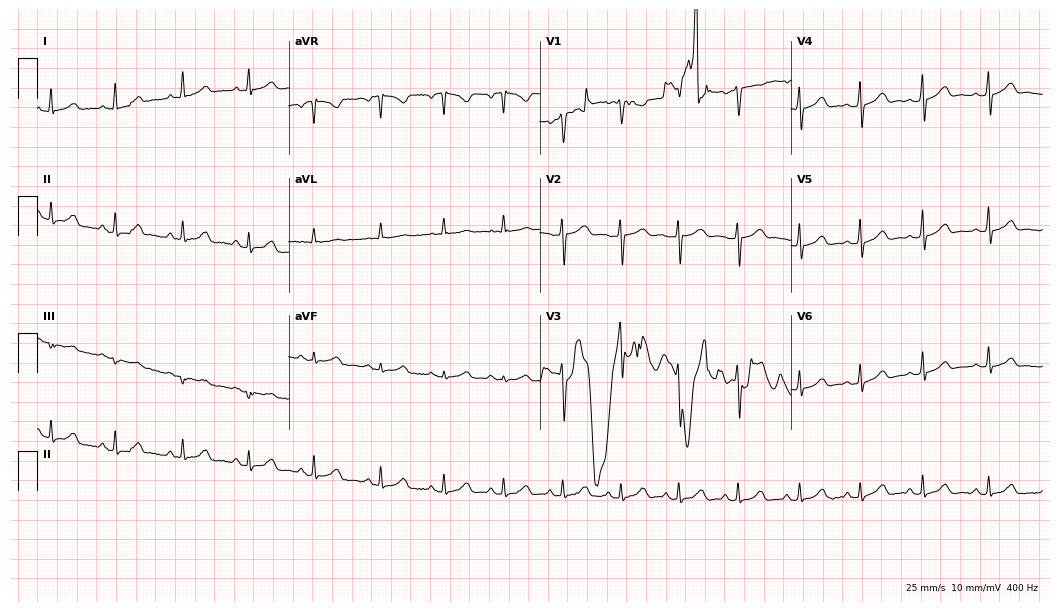
Electrocardiogram, a woman, 22 years old. Of the six screened findings (first-degree AV block, right bundle branch block, left bundle branch block, sinus bradycardia, atrial fibrillation, sinus tachycardia), none is recorded.